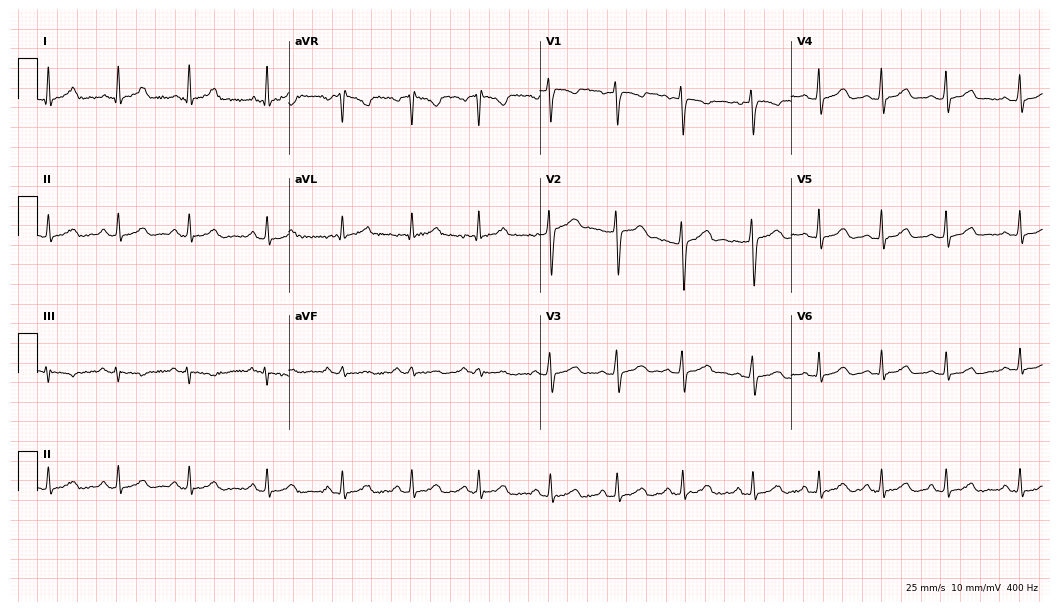
12-lead ECG from an 18-year-old woman. Labelled as a normal ECG.